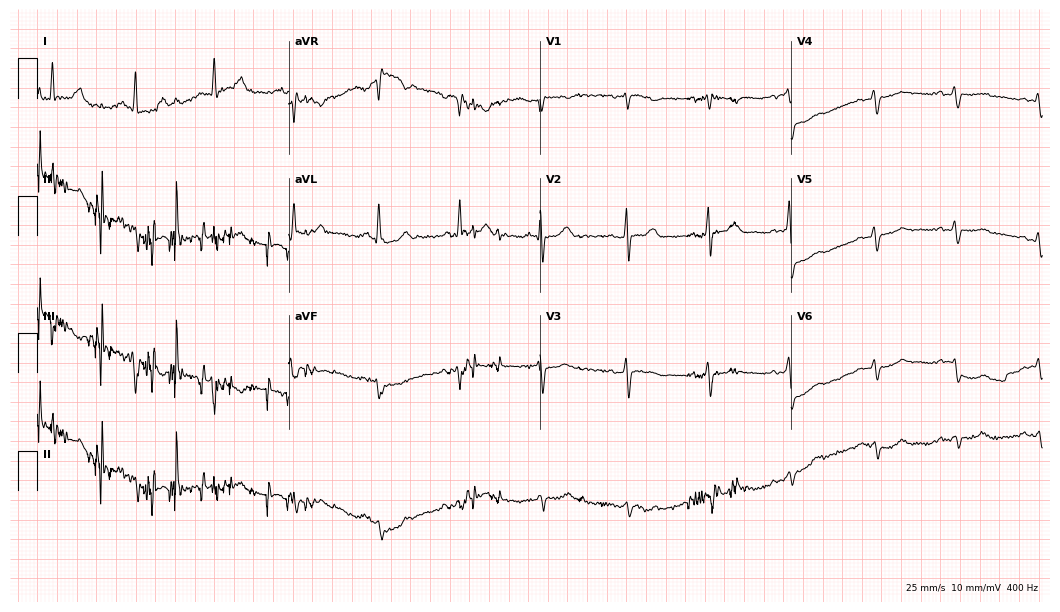
Resting 12-lead electrocardiogram. Patient: a 46-year-old female. None of these six findings is recorded: first-degree AV block, right bundle branch block (RBBB), left bundle branch block (LBBB), sinus bradycardia, atrial fibrillation (AF), sinus tachycardia. Other findings, if any, are not listed.